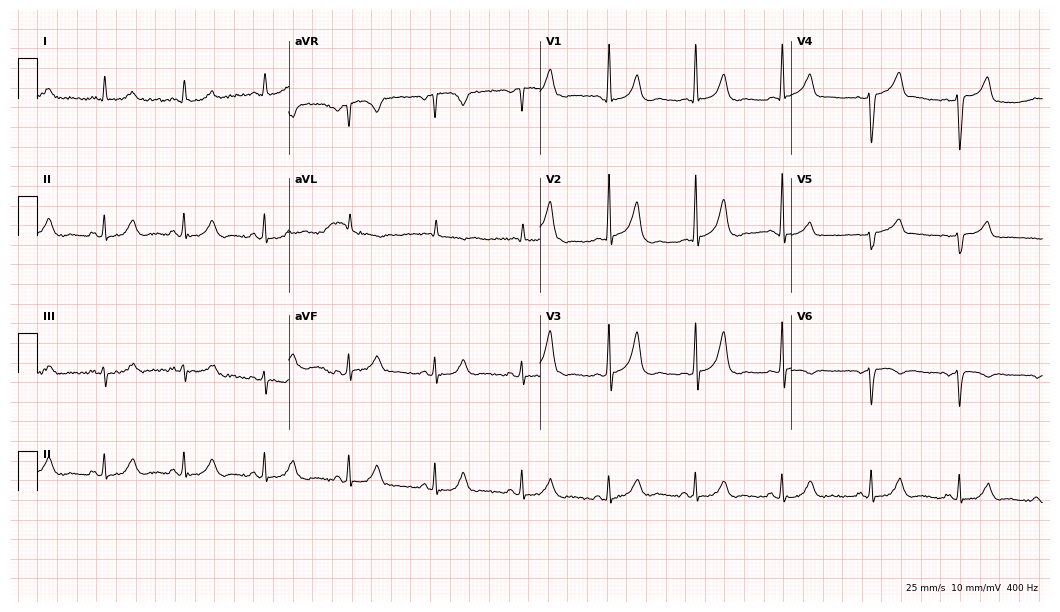
12-lead ECG from an 84-year-old woman (10.2-second recording at 400 Hz). No first-degree AV block, right bundle branch block, left bundle branch block, sinus bradycardia, atrial fibrillation or sinus tachycardia recorded for this tracing. Findings outside these six are not listed.